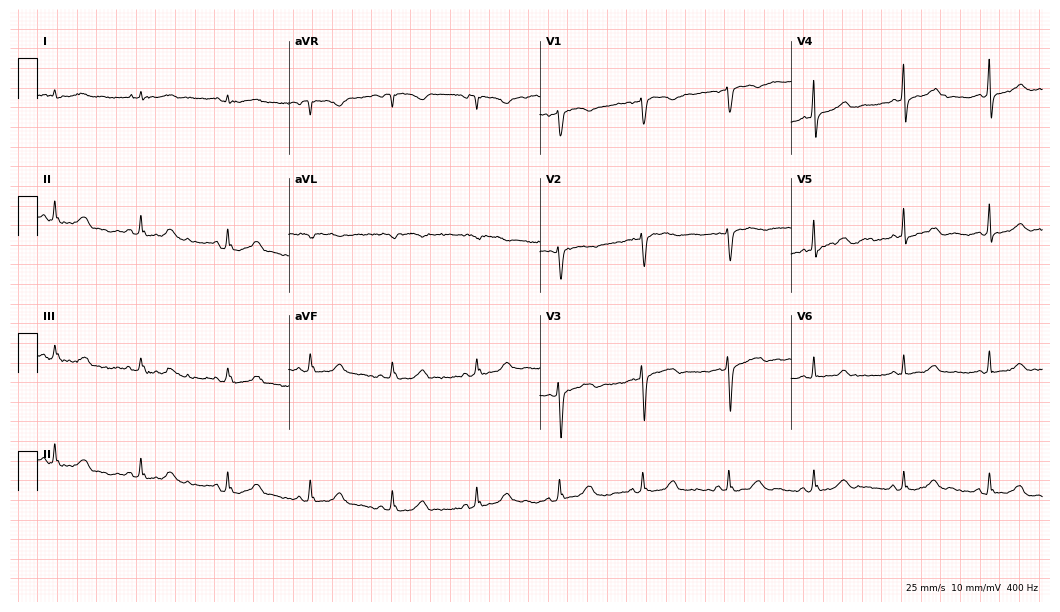
Standard 12-lead ECG recorded from a 28-year-old female (10.2-second recording at 400 Hz). Read as a normal ECG.